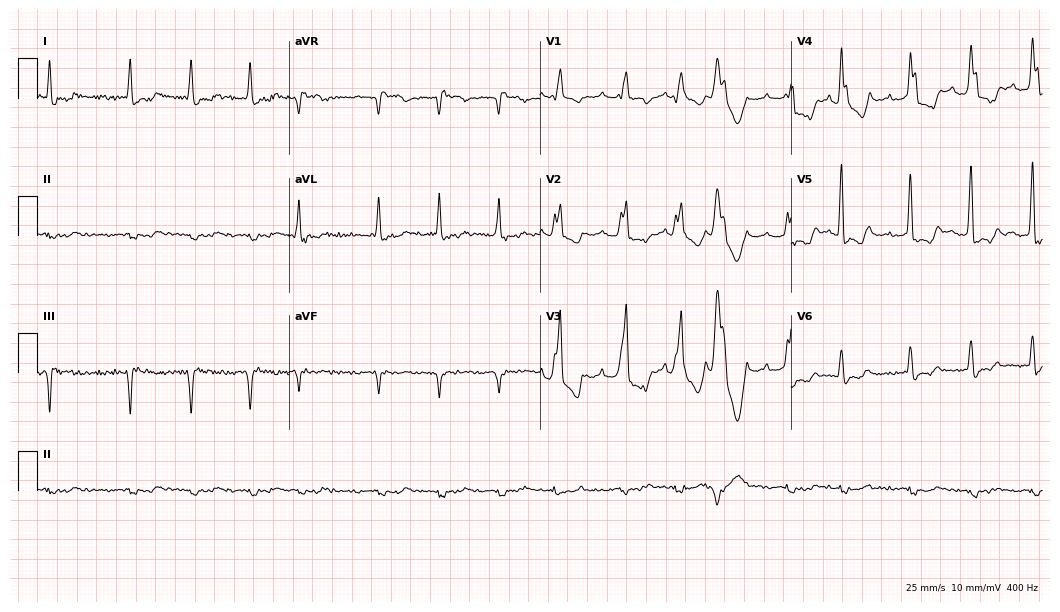
Standard 12-lead ECG recorded from a male patient, 74 years old. None of these six findings is recorded: first-degree AV block, right bundle branch block, left bundle branch block, sinus bradycardia, atrial fibrillation, sinus tachycardia. Other findings, if any, are not listed.